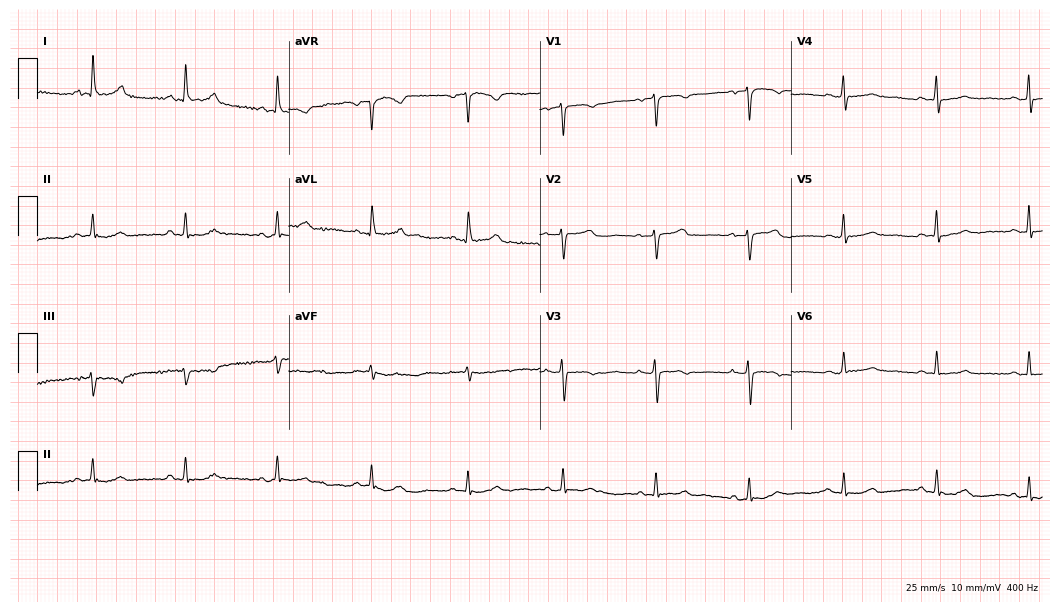
Electrocardiogram, a woman, 67 years old. Overall reading on record: normal ECG.